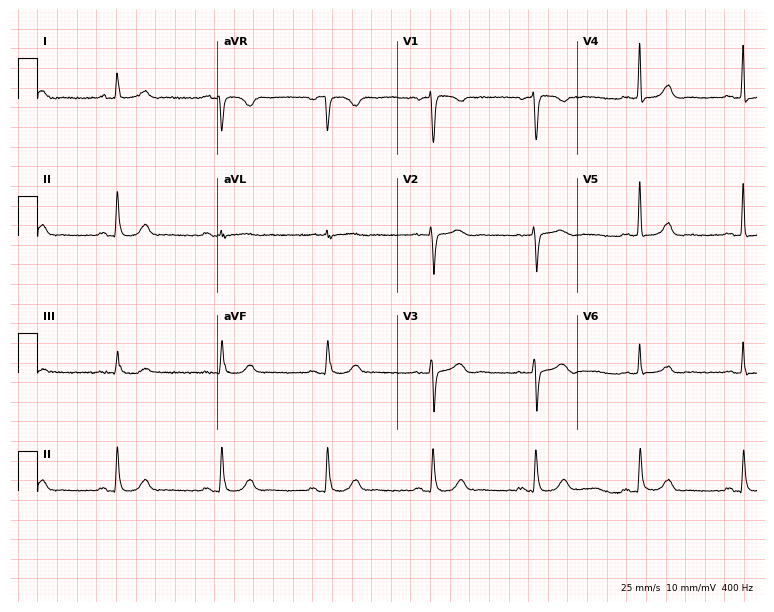
12-lead ECG from a 62-year-old woman. Recorded interpretation: within normal limits.